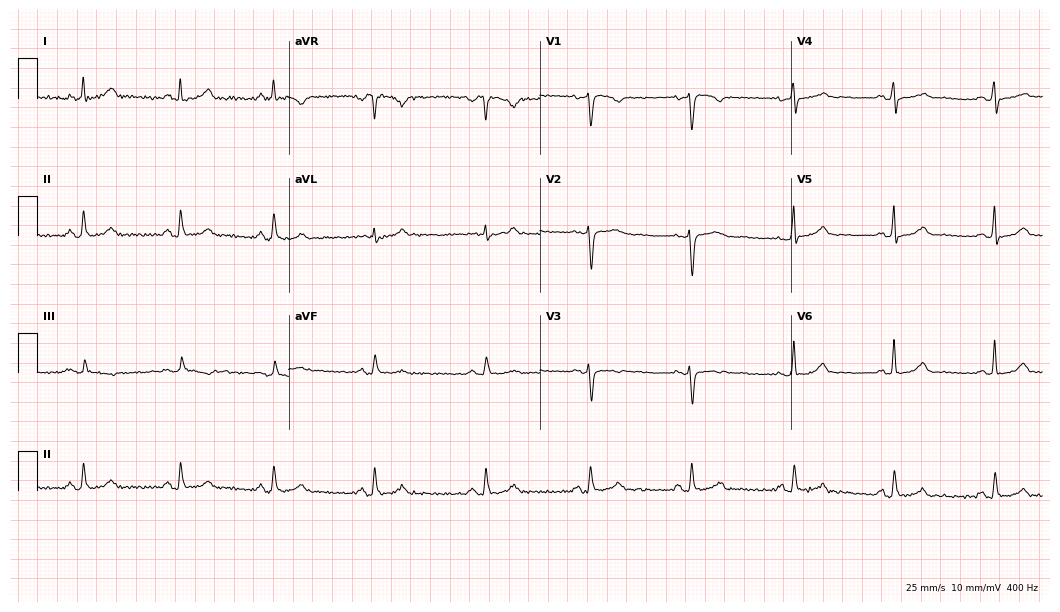
ECG (10.2-second recording at 400 Hz) — a female, 42 years old. Screened for six findings — first-degree AV block, right bundle branch block (RBBB), left bundle branch block (LBBB), sinus bradycardia, atrial fibrillation (AF), sinus tachycardia — none is recorded. Only these six findings were labelled.